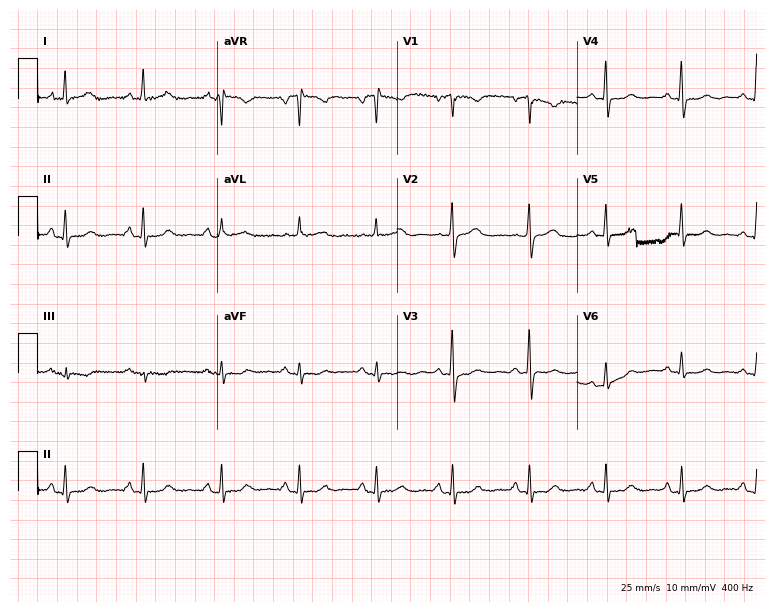
Electrocardiogram (7.3-second recording at 400 Hz), a 68-year-old female patient. Overall reading on record: normal ECG.